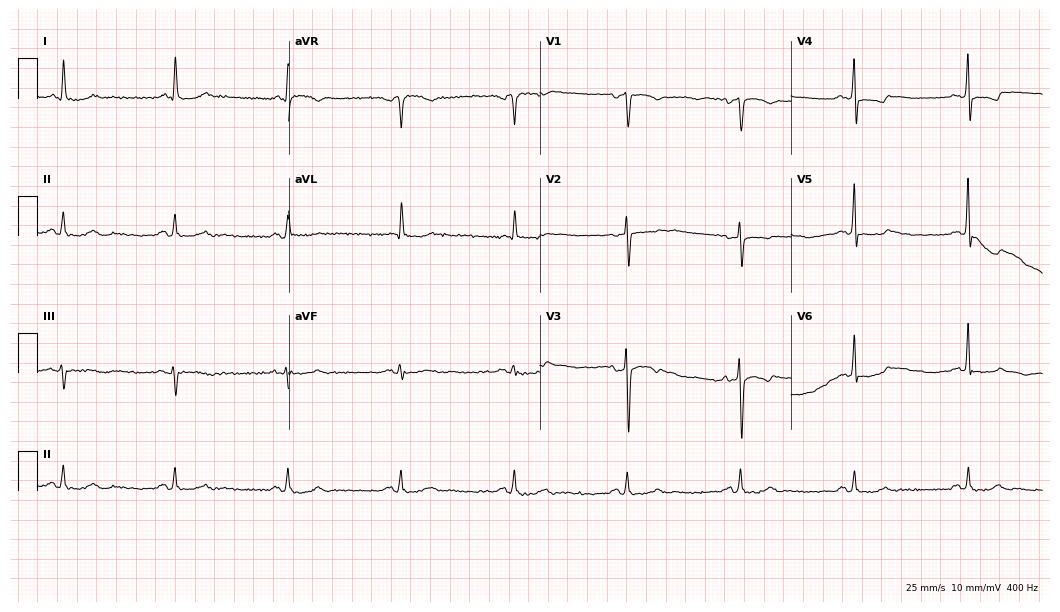
Standard 12-lead ECG recorded from an 84-year-old female. None of these six findings is recorded: first-degree AV block, right bundle branch block, left bundle branch block, sinus bradycardia, atrial fibrillation, sinus tachycardia. Other findings, if any, are not listed.